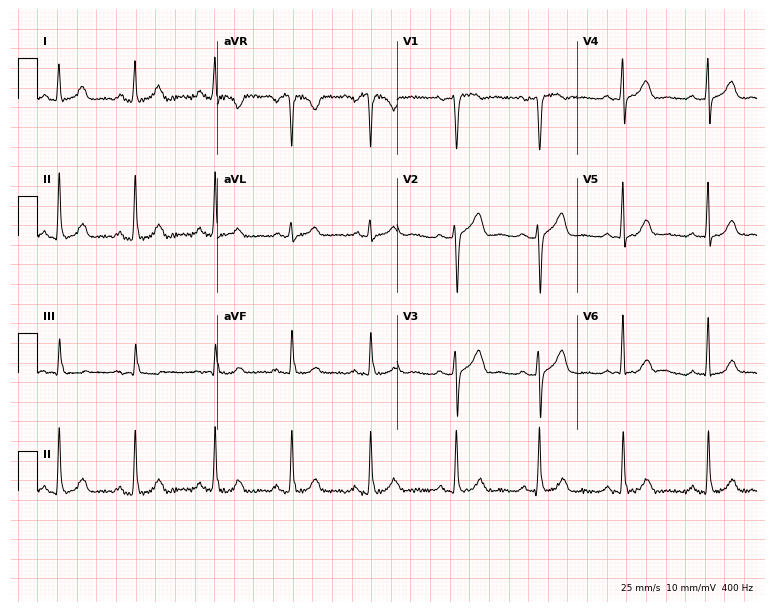
Electrocardiogram, a 25-year-old female patient. Of the six screened findings (first-degree AV block, right bundle branch block (RBBB), left bundle branch block (LBBB), sinus bradycardia, atrial fibrillation (AF), sinus tachycardia), none is recorded. Findings outside these six are not listed.